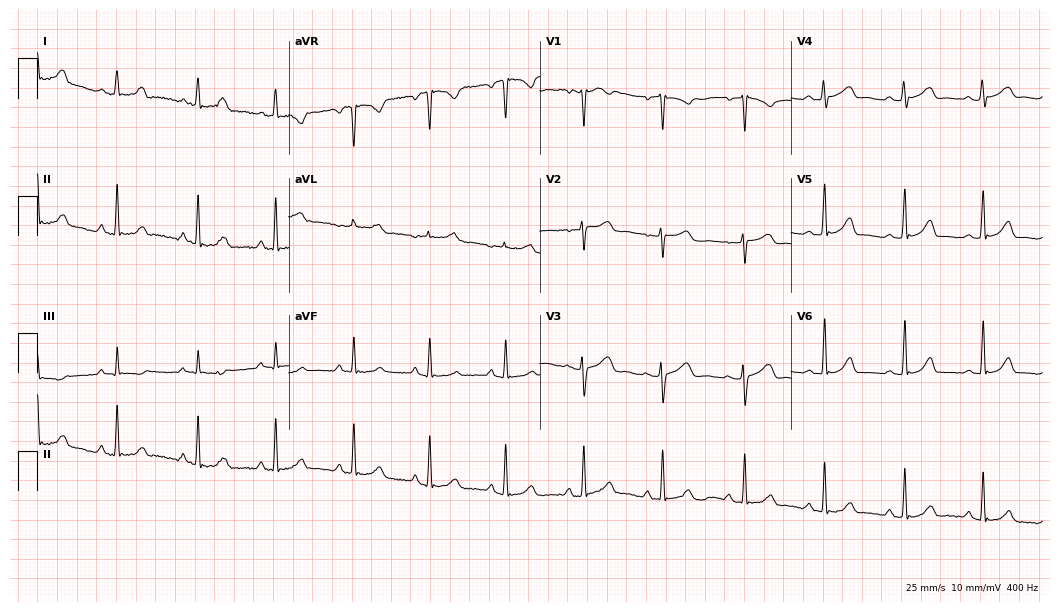
Resting 12-lead electrocardiogram (10.2-second recording at 400 Hz). Patient: a female, 28 years old. Read as a normal ECG.